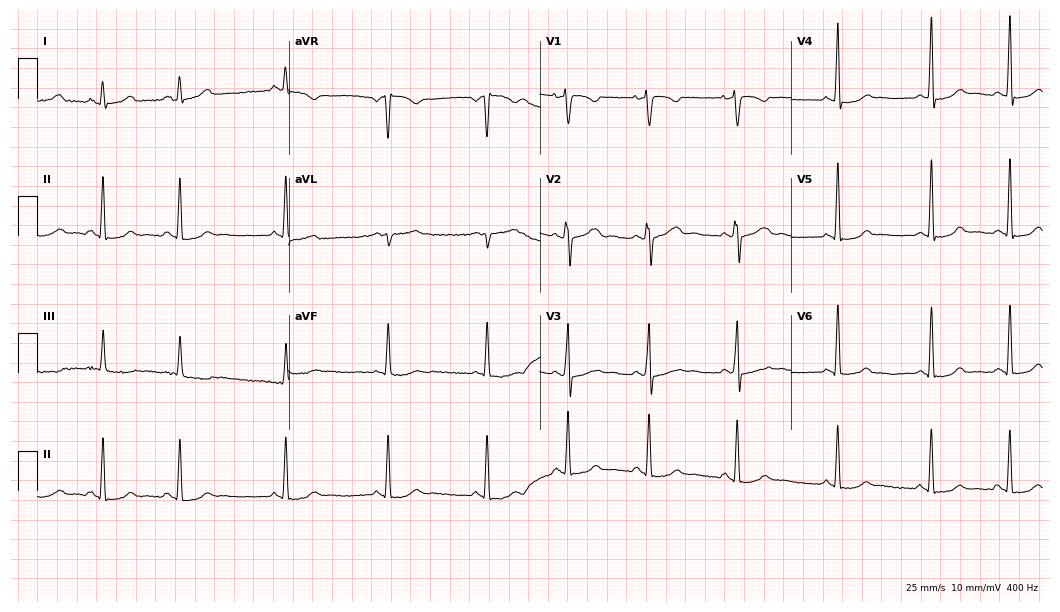
Resting 12-lead electrocardiogram (10.2-second recording at 400 Hz). Patient: a female, 27 years old. Read as a normal ECG.